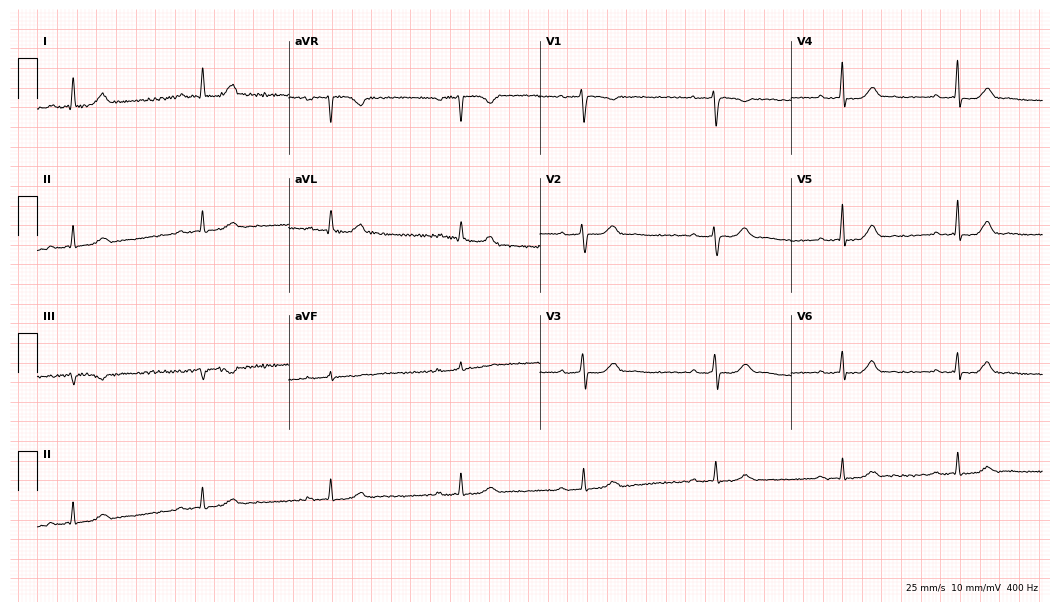
12-lead ECG (10.2-second recording at 400 Hz) from a 46-year-old female. Findings include first-degree AV block, sinus bradycardia (a sinus rate of 50 beats per minute or less).